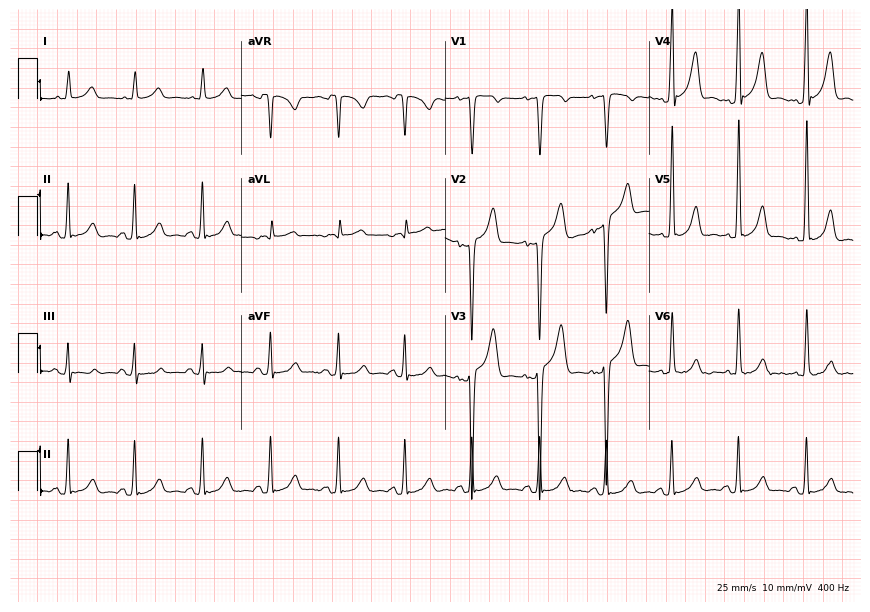
12-lead ECG from a 48-year-old male patient. Screened for six findings — first-degree AV block, right bundle branch block, left bundle branch block, sinus bradycardia, atrial fibrillation, sinus tachycardia — none is recorded.